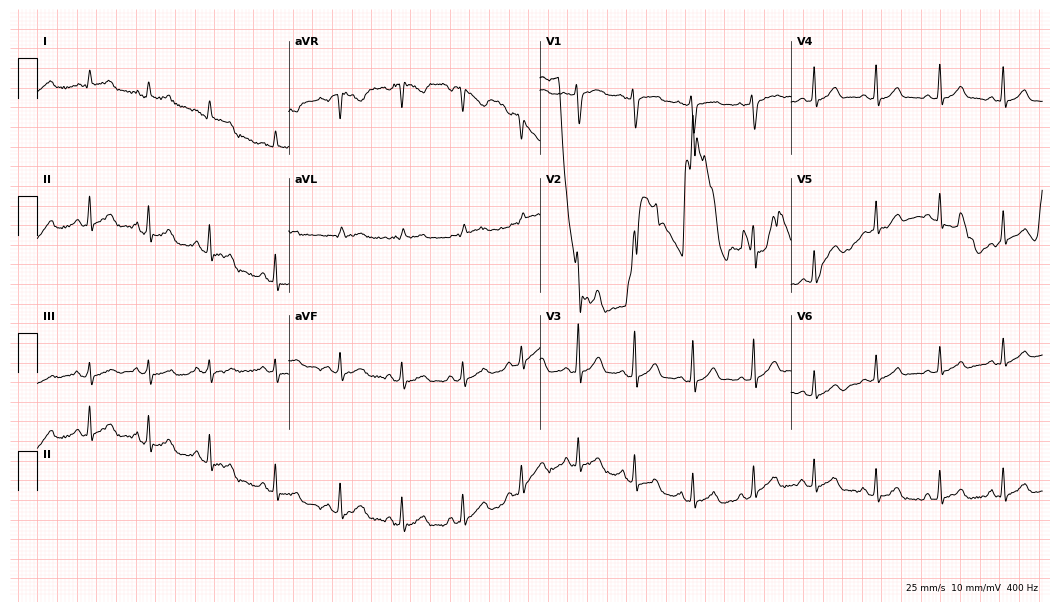
12-lead ECG (10.2-second recording at 400 Hz) from a female patient, 27 years old. Labelled as a normal ECG.